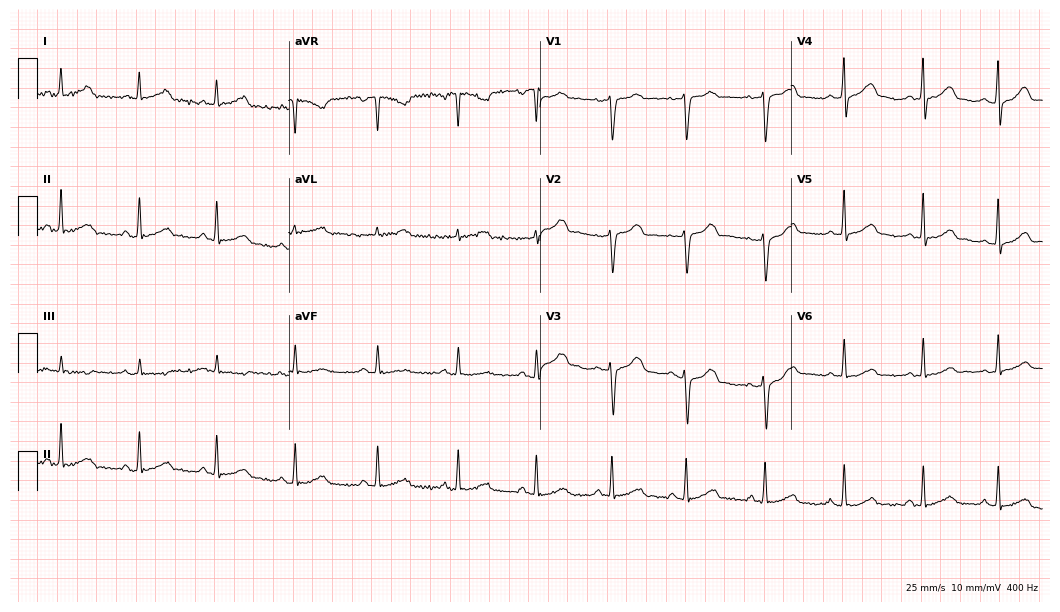
ECG (10.2-second recording at 400 Hz) — a woman, 43 years old. Labelled as a normal ECG.